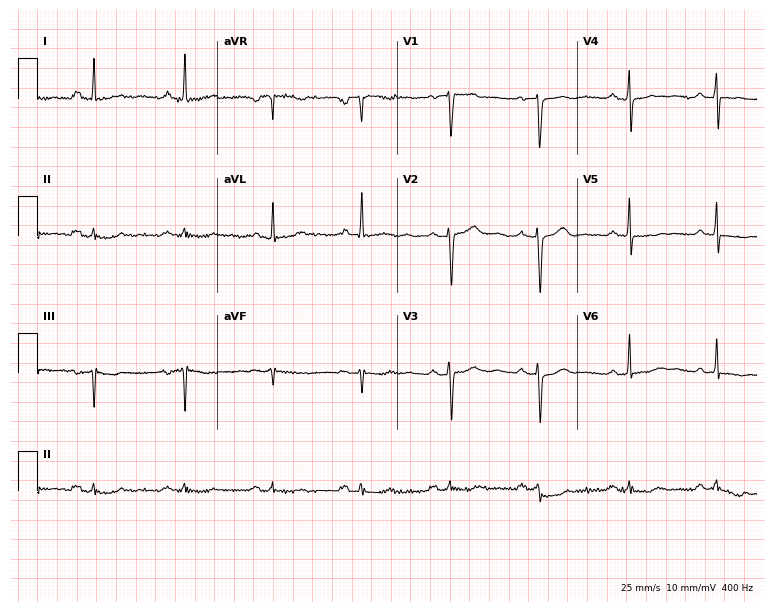
Electrocardiogram, a 65-year-old female patient. Of the six screened findings (first-degree AV block, right bundle branch block, left bundle branch block, sinus bradycardia, atrial fibrillation, sinus tachycardia), none is recorded. Other findings, if any, are not listed.